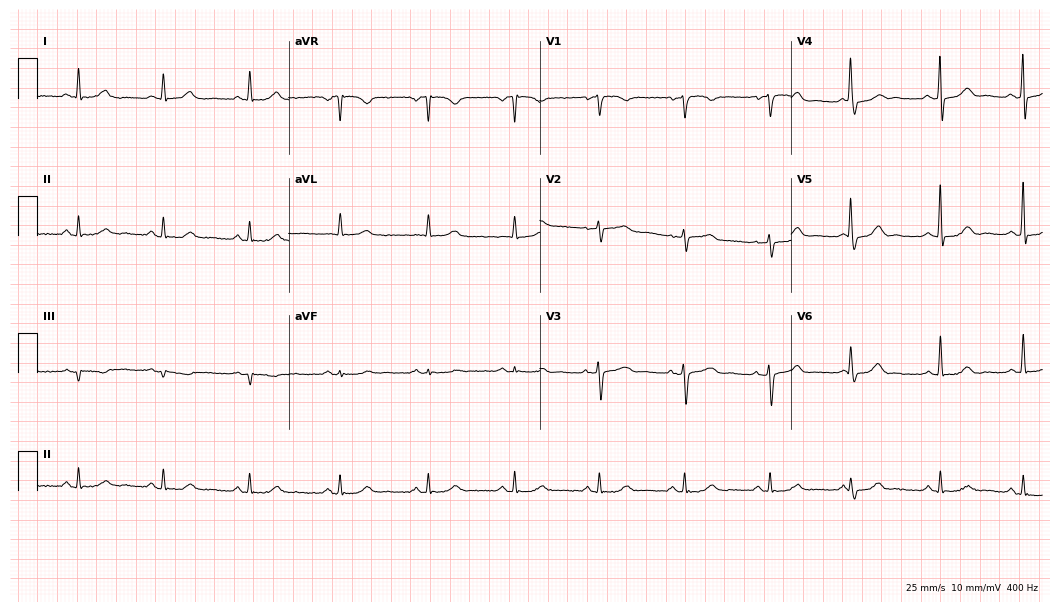
12-lead ECG from a female patient, 66 years old. Labelled as a normal ECG.